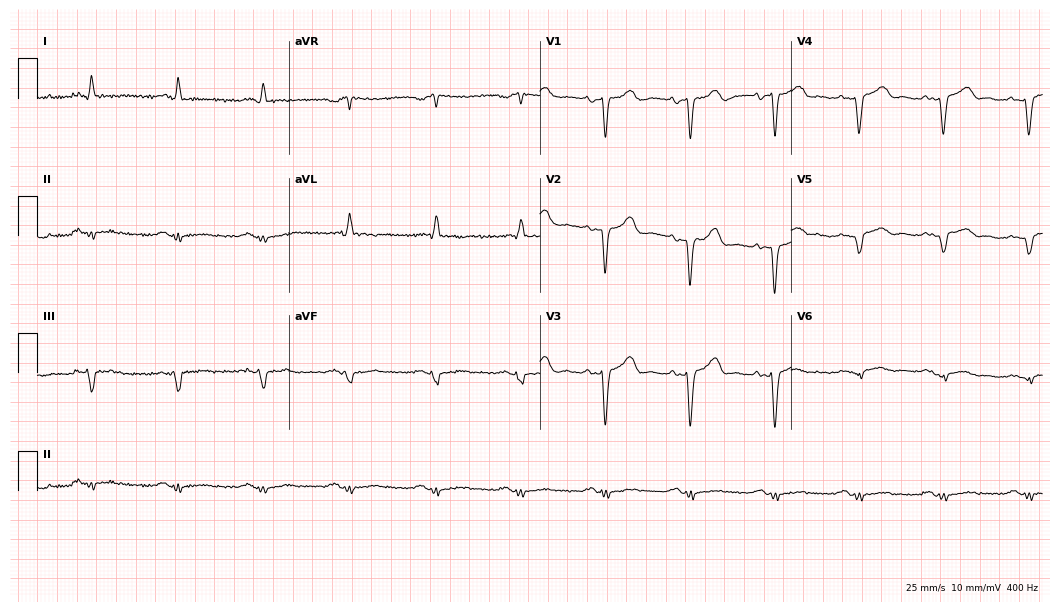
Standard 12-lead ECG recorded from a male, 64 years old. None of these six findings is recorded: first-degree AV block, right bundle branch block (RBBB), left bundle branch block (LBBB), sinus bradycardia, atrial fibrillation (AF), sinus tachycardia.